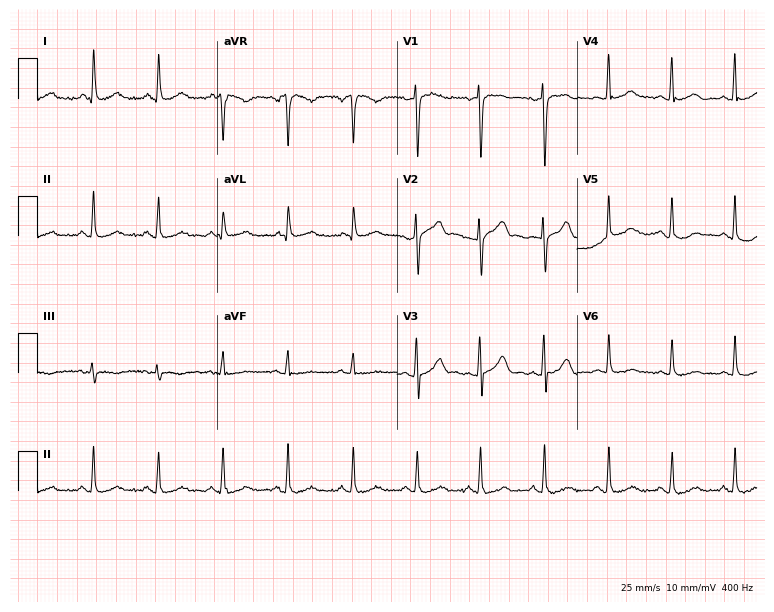
ECG (7.3-second recording at 400 Hz) — a 52-year-old female patient. Labelled as a normal ECG.